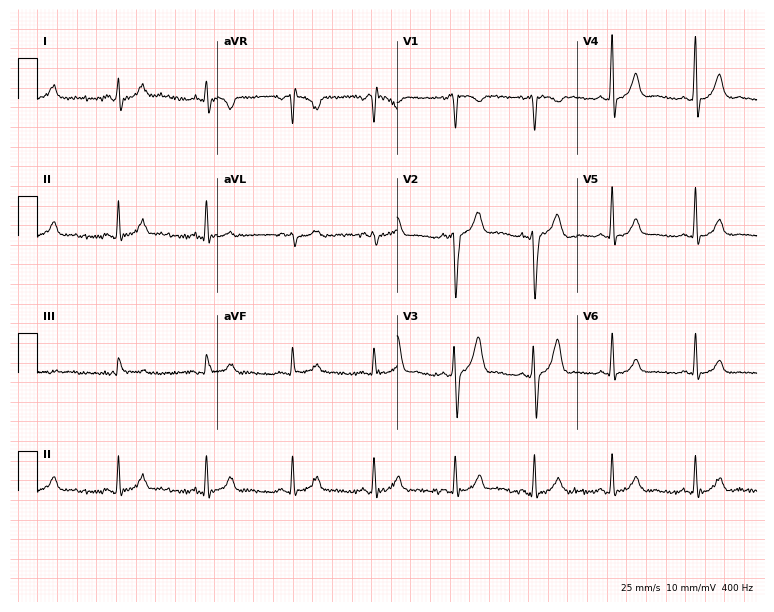
Electrocardiogram, a male patient, 24 years old. Overall reading on record: normal ECG.